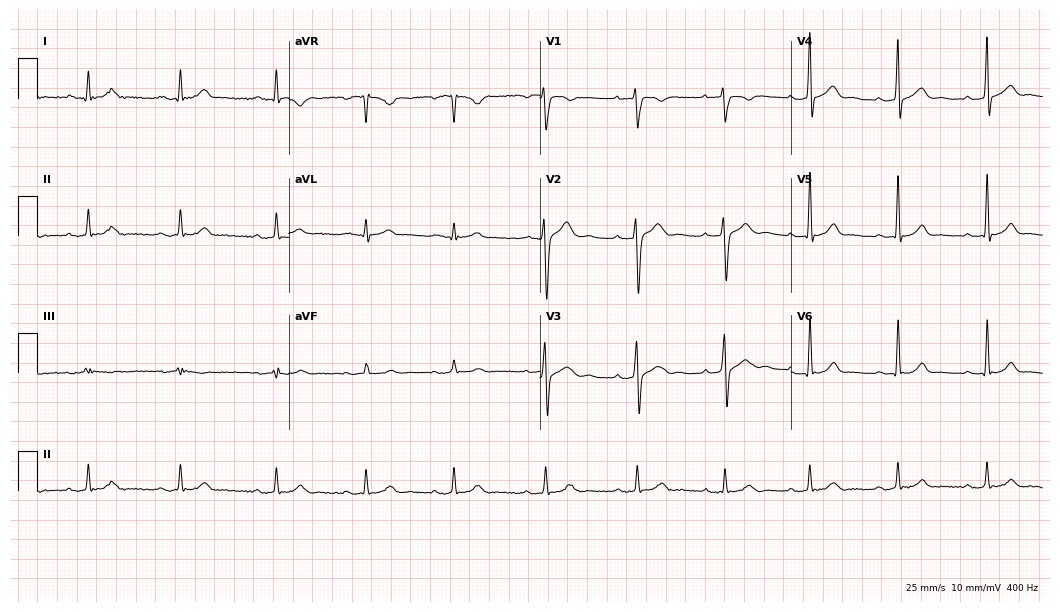
12-lead ECG from a 27-year-old male. Recorded interpretation: within normal limits.